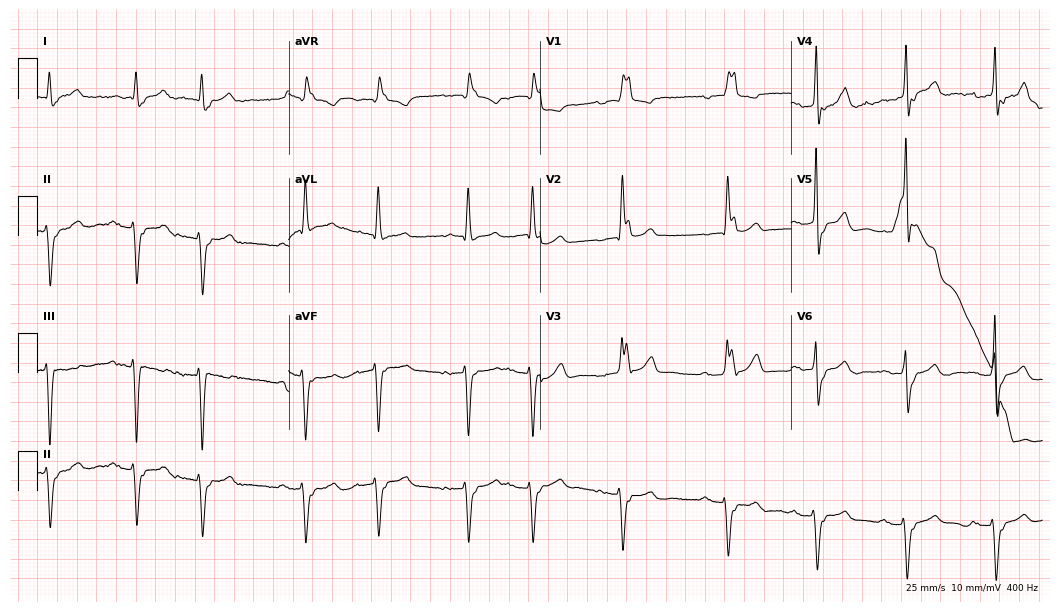
Standard 12-lead ECG recorded from a man, 84 years old (10.2-second recording at 400 Hz). None of these six findings is recorded: first-degree AV block, right bundle branch block (RBBB), left bundle branch block (LBBB), sinus bradycardia, atrial fibrillation (AF), sinus tachycardia. Other findings, if any, are not listed.